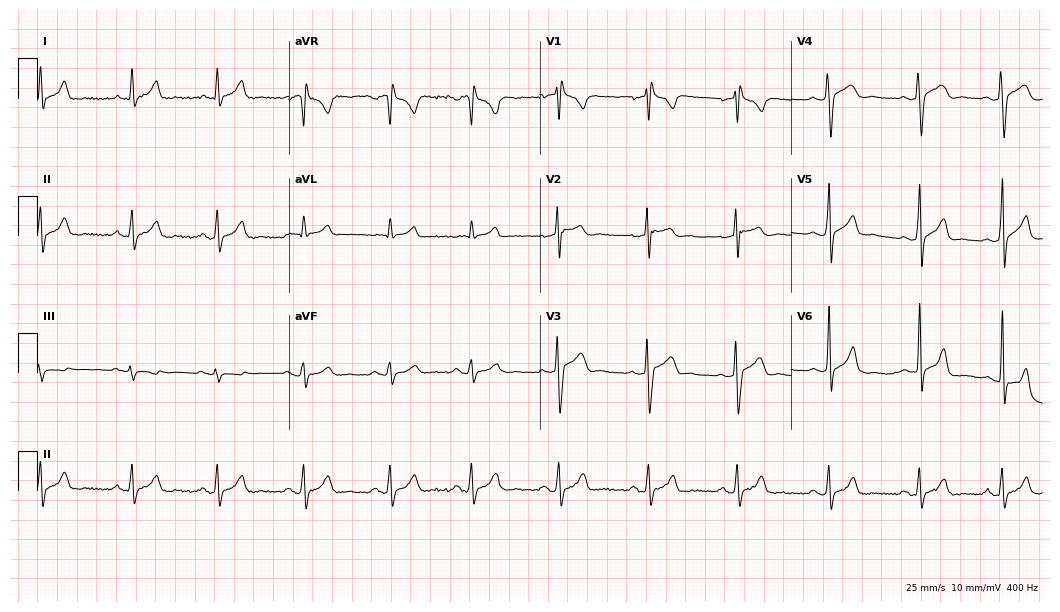
12-lead ECG from a 30-year-old male. Recorded interpretation: within normal limits.